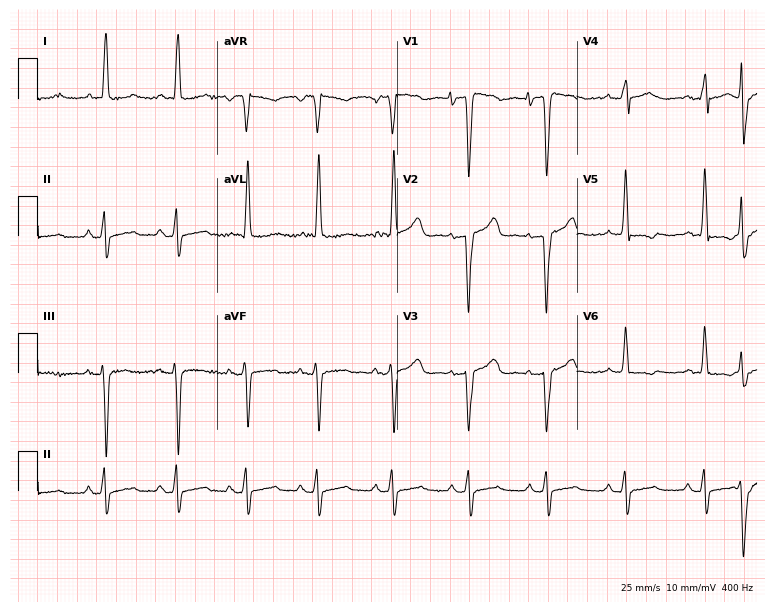
12-lead ECG from a woman, 79 years old. No first-degree AV block, right bundle branch block, left bundle branch block, sinus bradycardia, atrial fibrillation or sinus tachycardia recorded for this tracing.